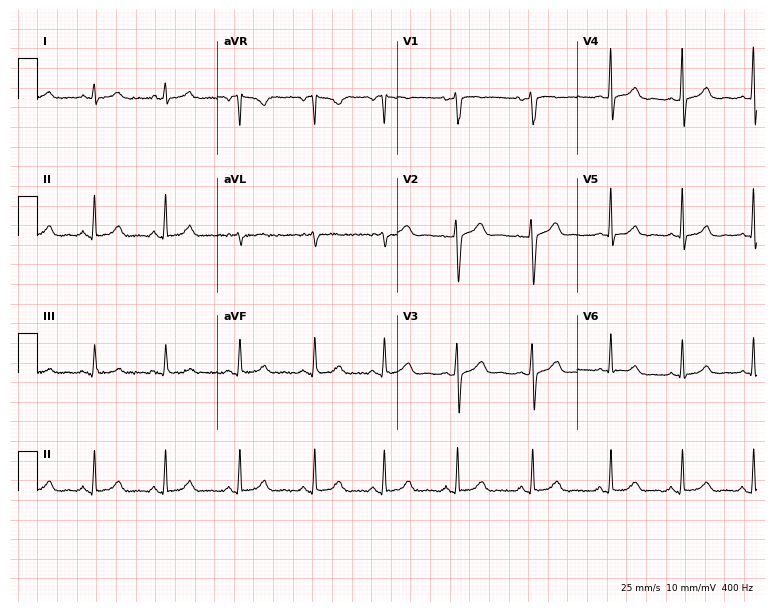
12-lead ECG from a 39-year-old woman (7.3-second recording at 400 Hz). Recorded interpretation: within normal limits.